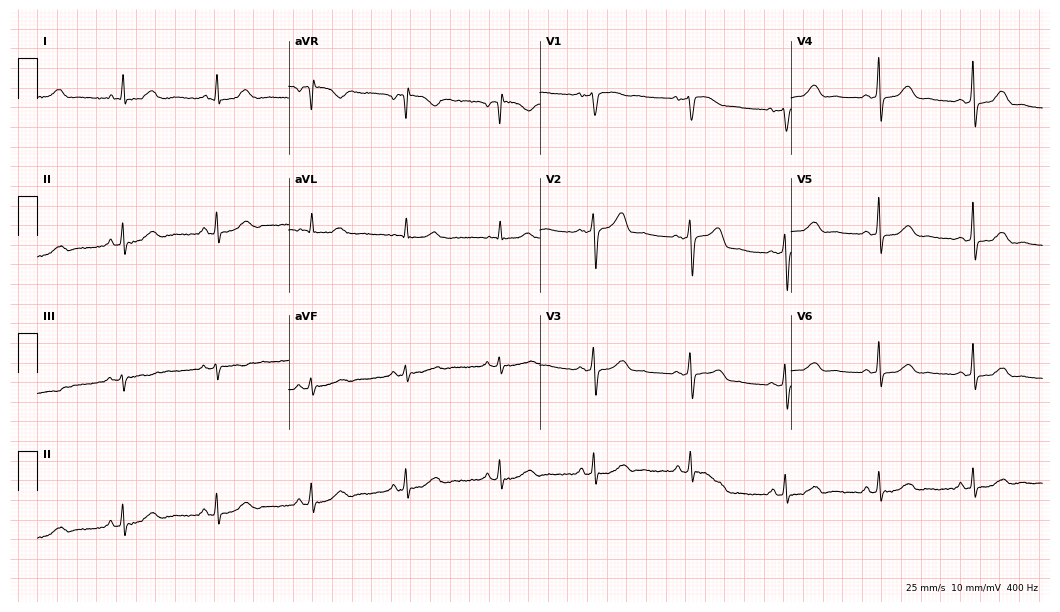
12-lead ECG from a 48-year-old woman (10.2-second recording at 400 Hz). Recorded interpretation: within normal limits.